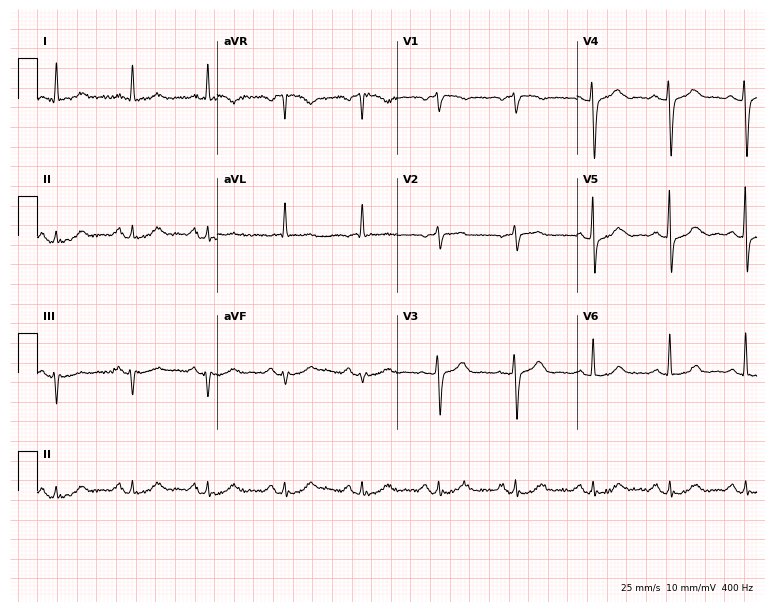
12-lead ECG from a woman, 71 years old. Recorded interpretation: within normal limits.